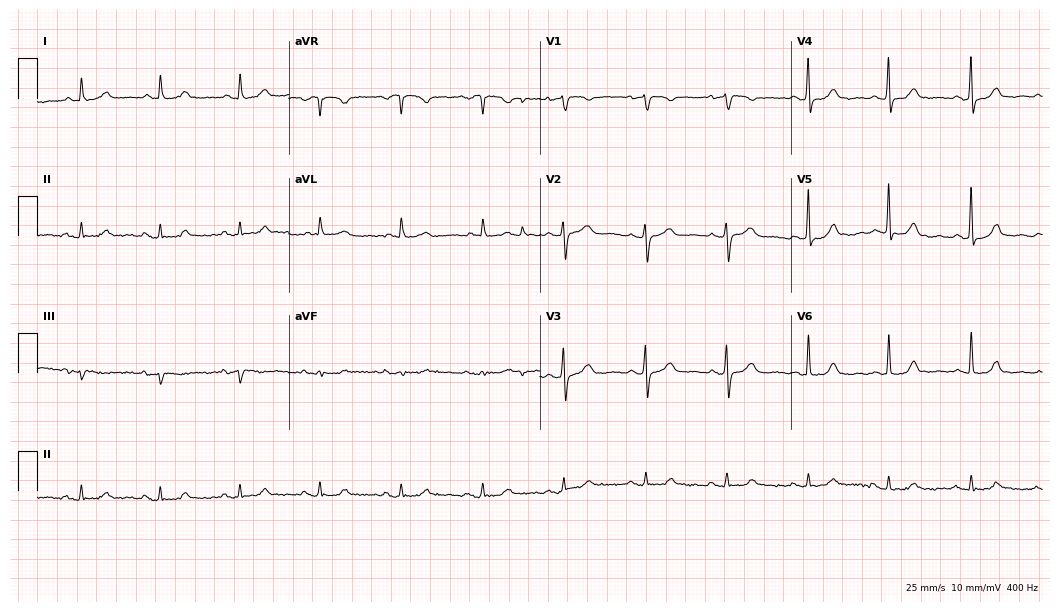
12-lead ECG (10.2-second recording at 400 Hz) from a female, 78 years old. Labelled as a normal ECG.